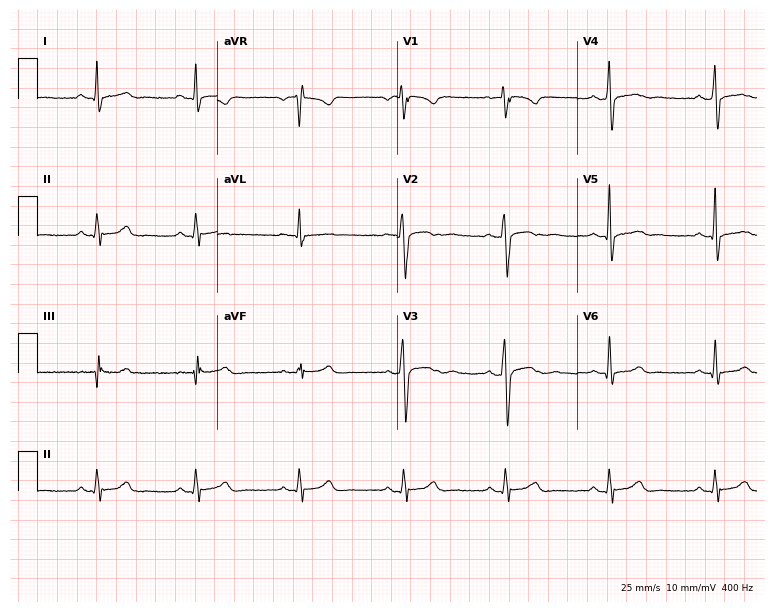
Electrocardiogram (7.3-second recording at 400 Hz), a male patient, 40 years old. Of the six screened findings (first-degree AV block, right bundle branch block, left bundle branch block, sinus bradycardia, atrial fibrillation, sinus tachycardia), none is recorded.